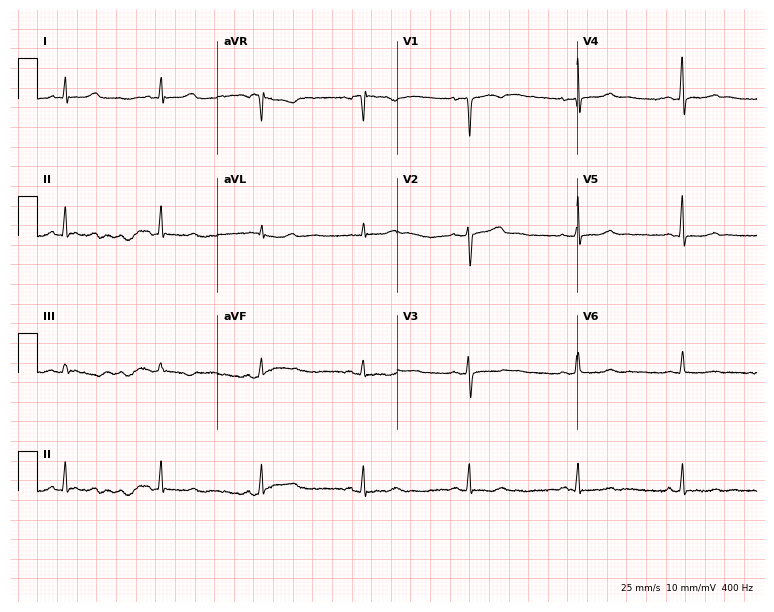
Standard 12-lead ECG recorded from a 49-year-old female (7.3-second recording at 400 Hz). Read as a normal ECG.